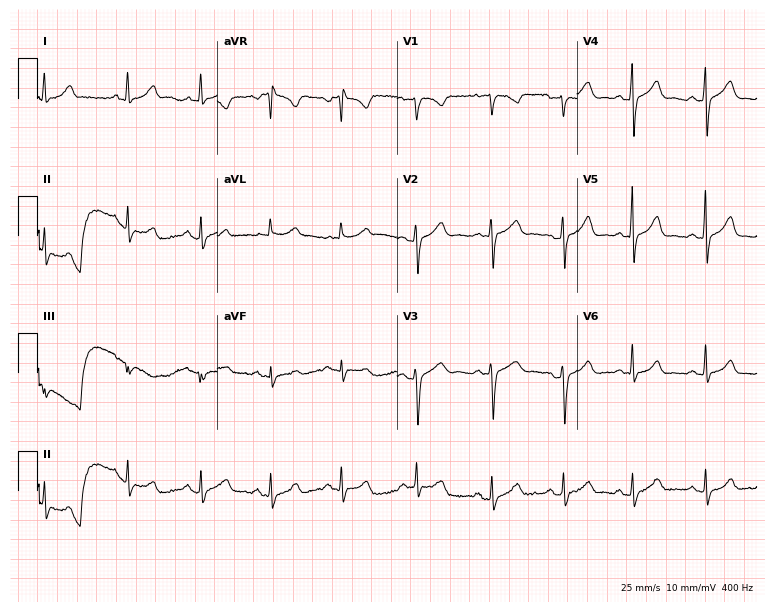
ECG — a woman, 19 years old. Labelled as a normal ECG.